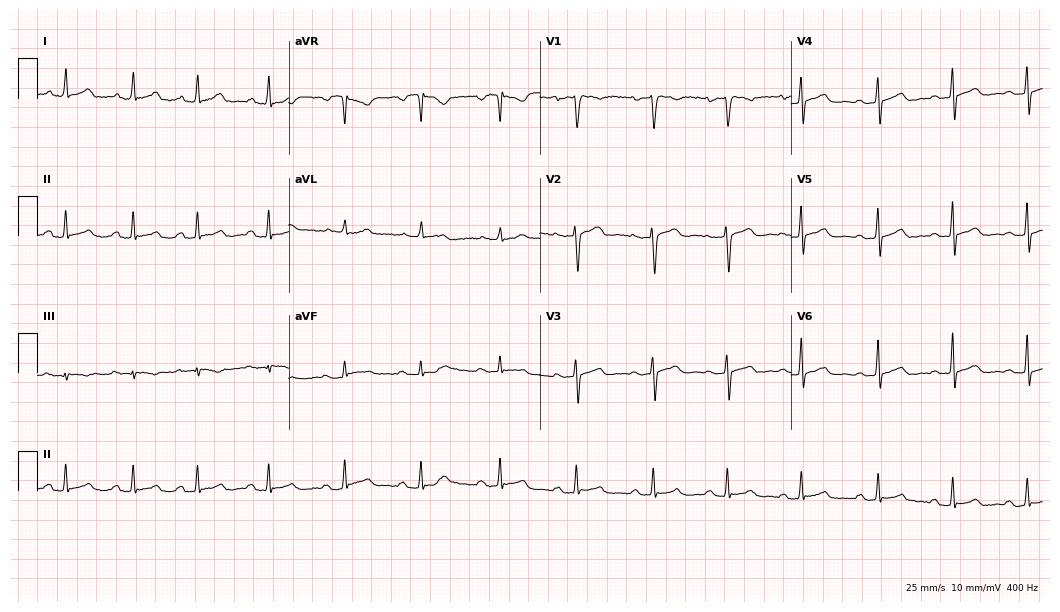
ECG (10.2-second recording at 400 Hz) — a female patient, 42 years old. Labelled as a normal ECG.